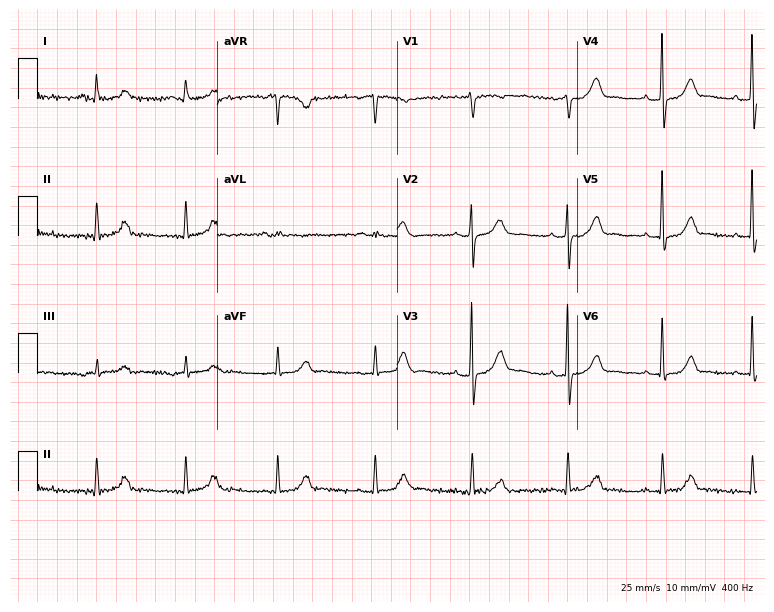
12-lead ECG from a 71-year-old female. Labelled as a normal ECG.